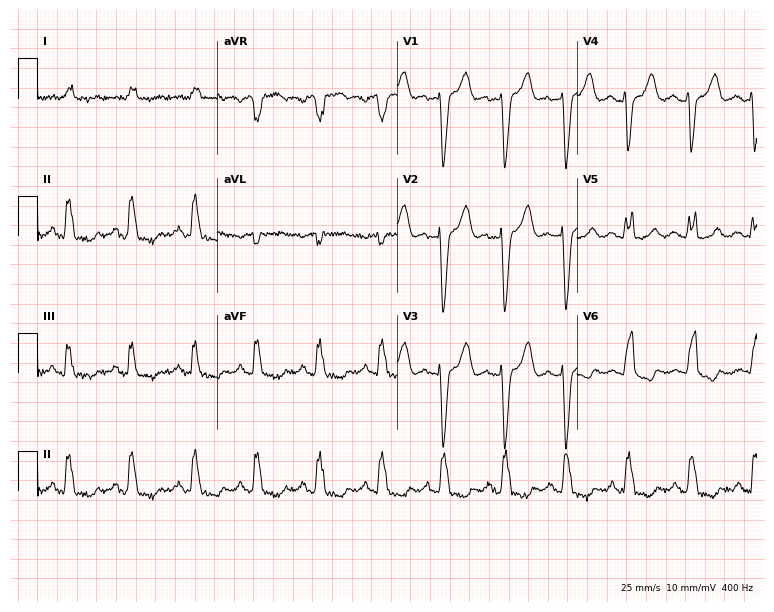
12-lead ECG from a 65-year-old female. Shows left bundle branch block.